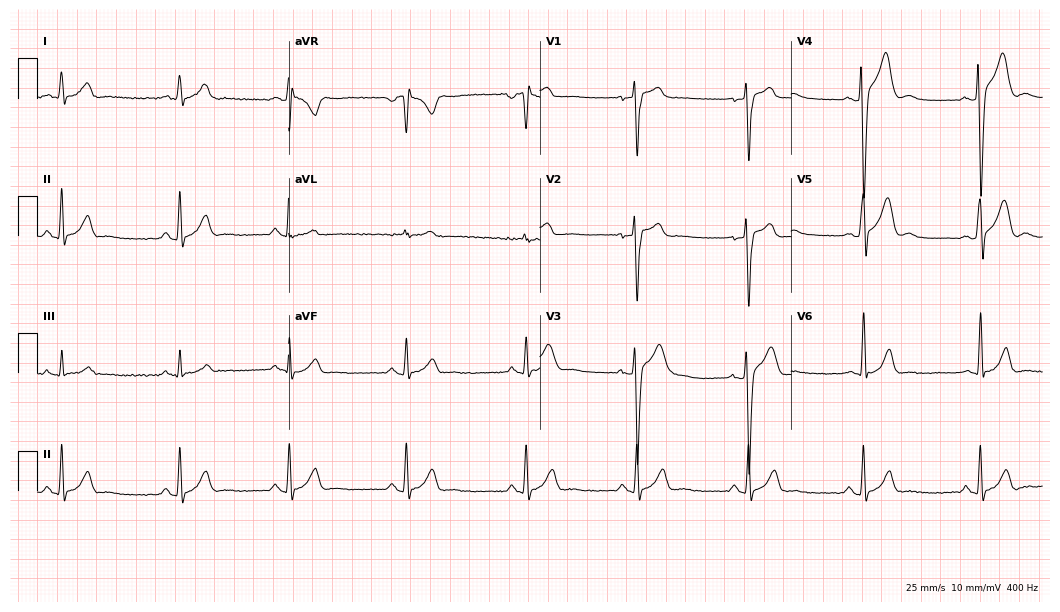
ECG (10.2-second recording at 400 Hz) — a 26-year-old man. Labelled as a normal ECG.